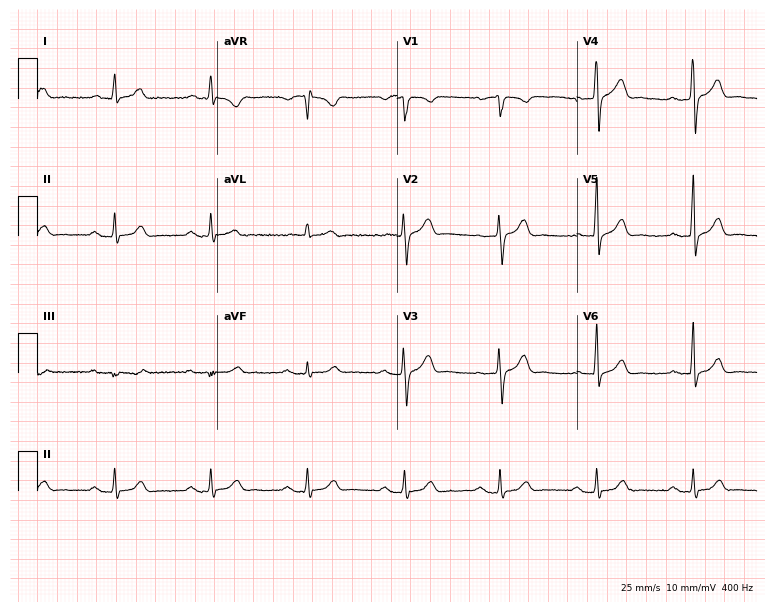
12-lead ECG from a male, 66 years old. Labelled as a normal ECG.